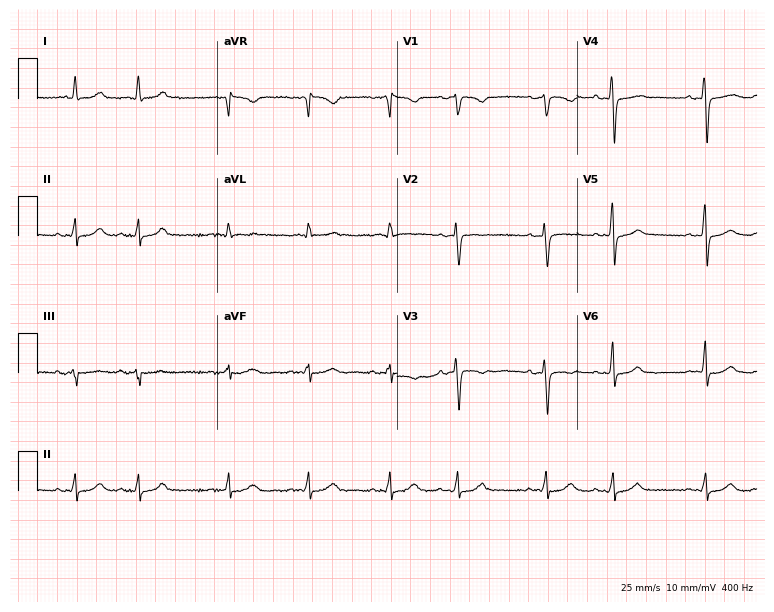
12-lead ECG (7.3-second recording at 400 Hz) from a 67-year-old female. Screened for six findings — first-degree AV block, right bundle branch block (RBBB), left bundle branch block (LBBB), sinus bradycardia, atrial fibrillation (AF), sinus tachycardia — none is recorded.